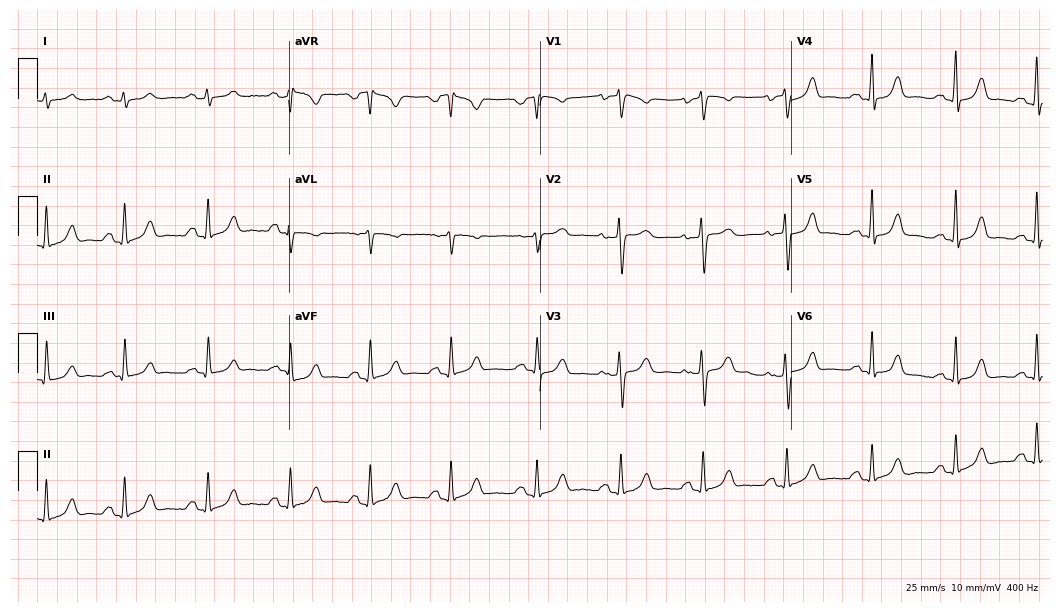
12-lead ECG from a woman, 36 years old (10.2-second recording at 400 Hz). Recorded interpretation: within normal limits.